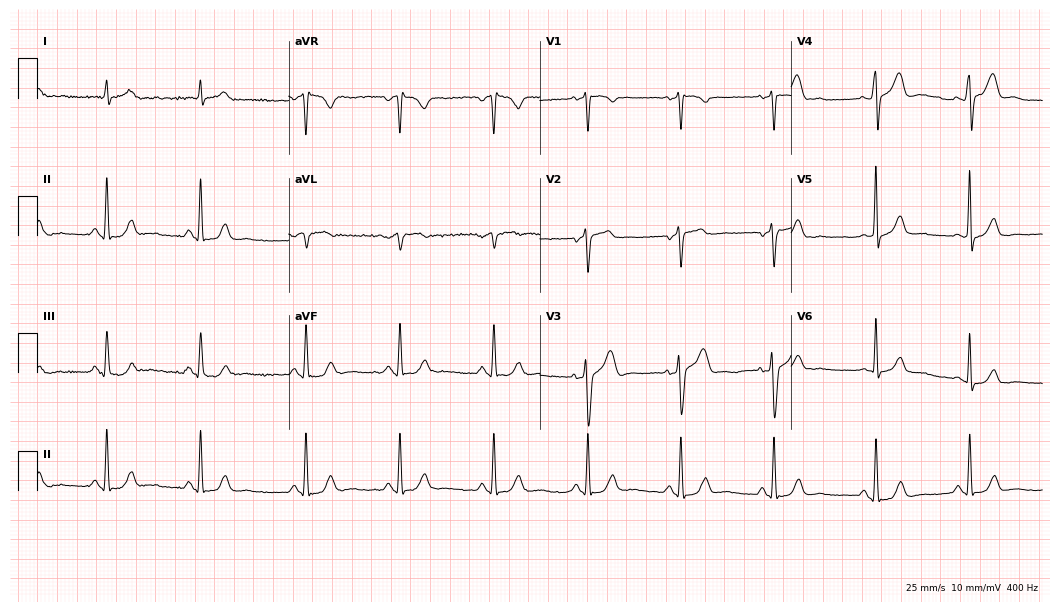
Standard 12-lead ECG recorded from a 57-year-old man (10.2-second recording at 400 Hz). Read as a normal ECG.